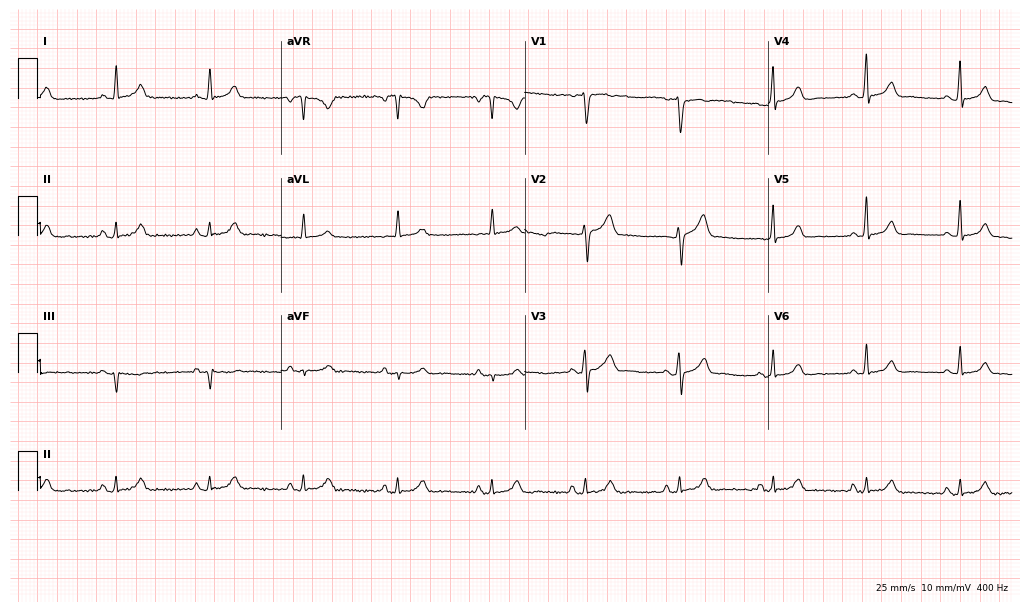
Resting 12-lead electrocardiogram (9.9-second recording at 400 Hz). Patient: a male, 43 years old. Read as a normal ECG.